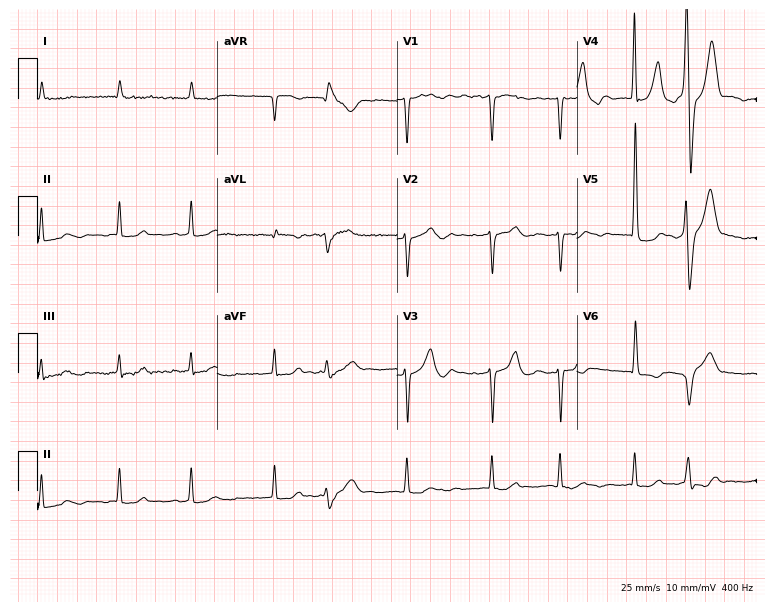
Electrocardiogram (7.3-second recording at 400 Hz), a female, 71 years old. Of the six screened findings (first-degree AV block, right bundle branch block, left bundle branch block, sinus bradycardia, atrial fibrillation, sinus tachycardia), none is recorded.